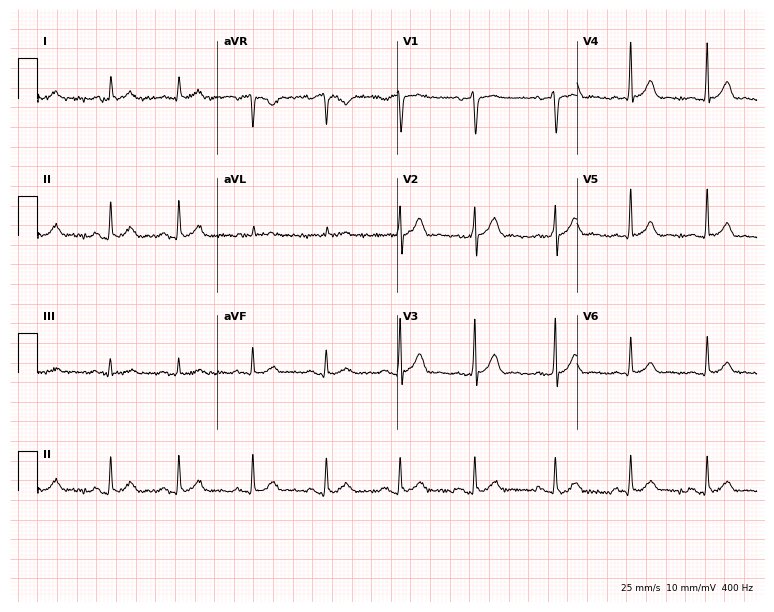
ECG — a man, 36 years old. Screened for six findings — first-degree AV block, right bundle branch block, left bundle branch block, sinus bradycardia, atrial fibrillation, sinus tachycardia — none is recorded. Only these six findings were labelled.